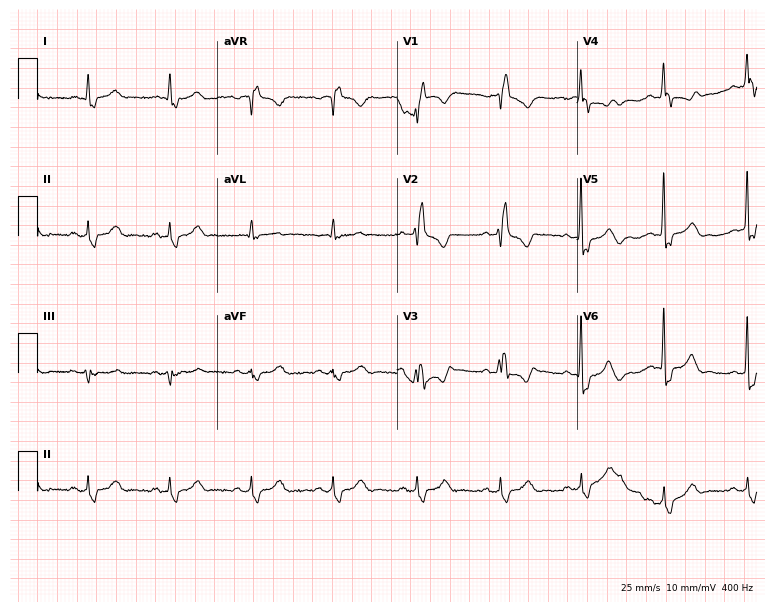
Standard 12-lead ECG recorded from a 70-year-old male (7.3-second recording at 400 Hz). The tracing shows right bundle branch block.